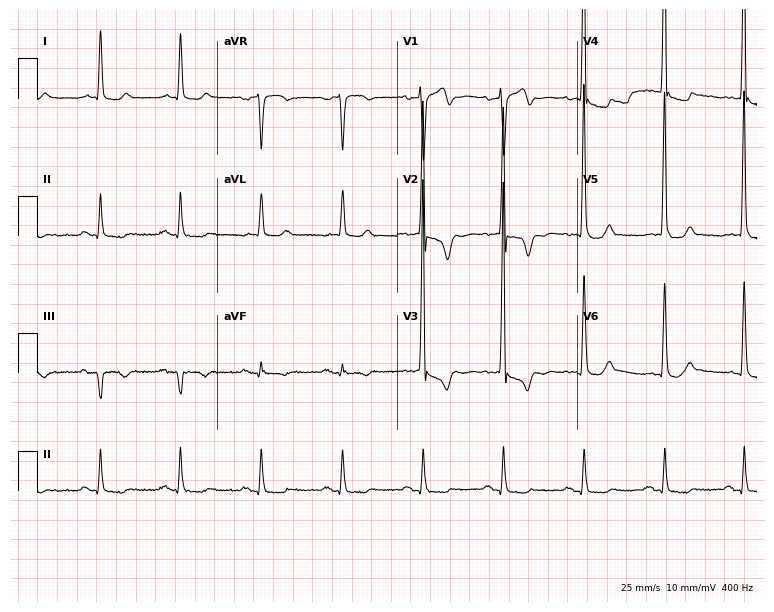
Standard 12-lead ECG recorded from an 81-year-old male. None of these six findings is recorded: first-degree AV block, right bundle branch block, left bundle branch block, sinus bradycardia, atrial fibrillation, sinus tachycardia. Findings outside these six are not listed.